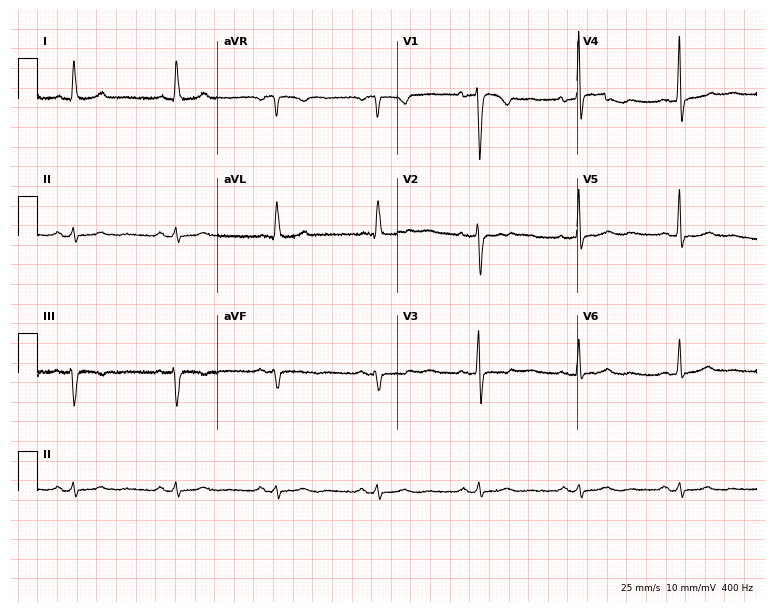
Resting 12-lead electrocardiogram (7.3-second recording at 400 Hz). Patient: a female, 56 years old. None of these six findings is recorded: first-degree AV block, right bundle branch block, left bundle branch block, sinus bradycardia, atrial fibrillation, sinus tachycardia. Findings outside these six are not listed.